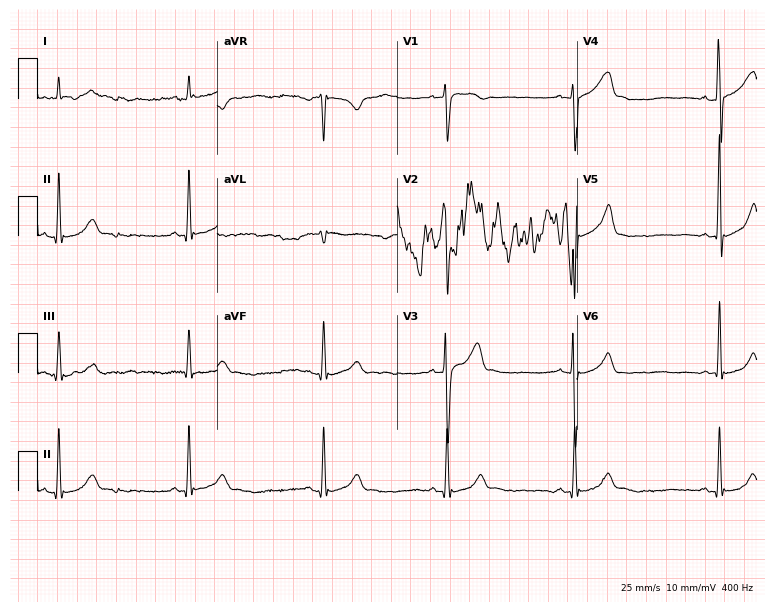
12-lead ECG from a male patient, 20 years old. Findings include sinus bradycardia (a sinus rate of 50 beats per minute or less).